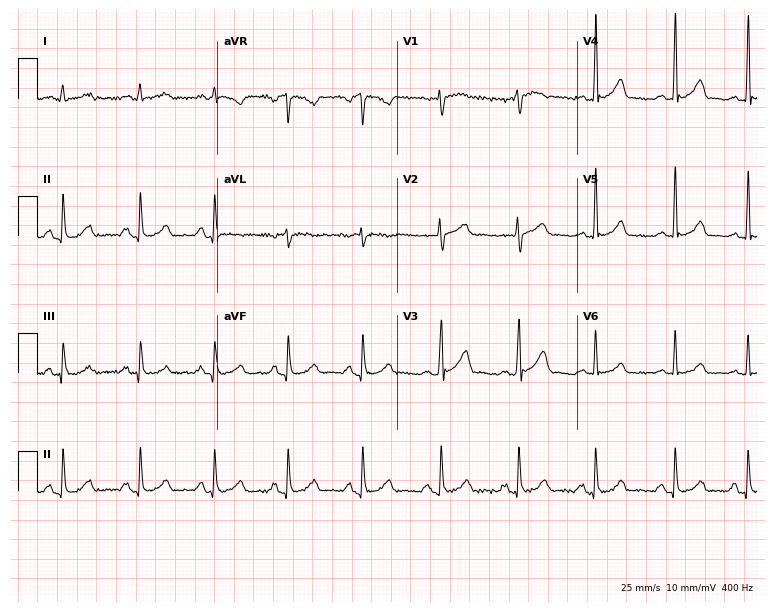
Resting 12-lead electrocardiogram (7.3-second recording at 400 Hz). Patient: a male, 57 years old. None of these six findings is recorded: first-degree AV block, right bundle branch block, left bundle branch block, sinus bradycardia, atrial fibrillation, sinus tachycardia. Other findings, if any, are not listed.